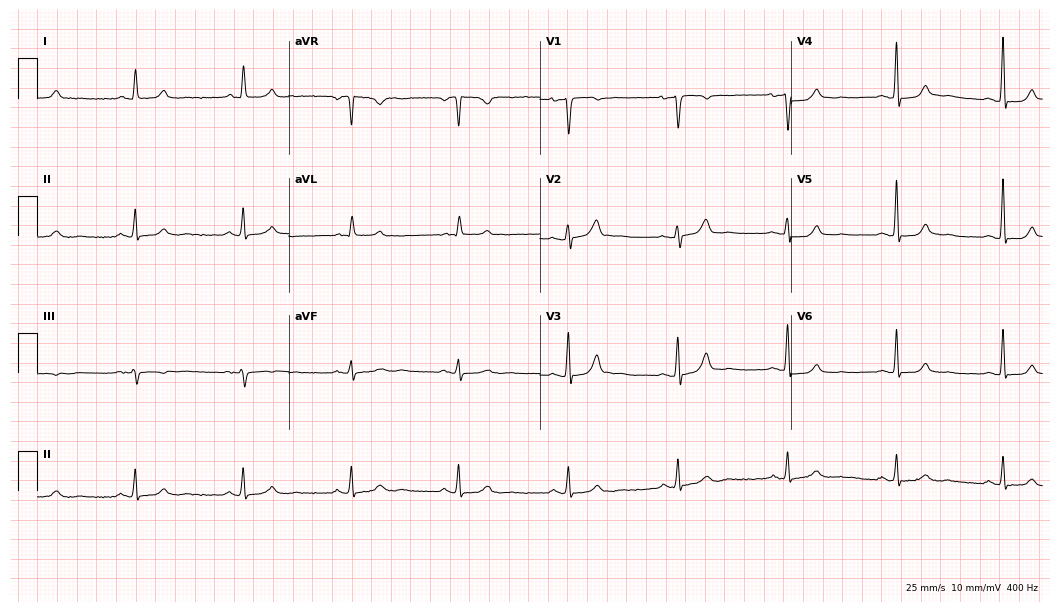
Electrocardiogram (10.2-second recording at 400 Hz), a female patient, 59 years old. Overall reading on record: normal ECG.